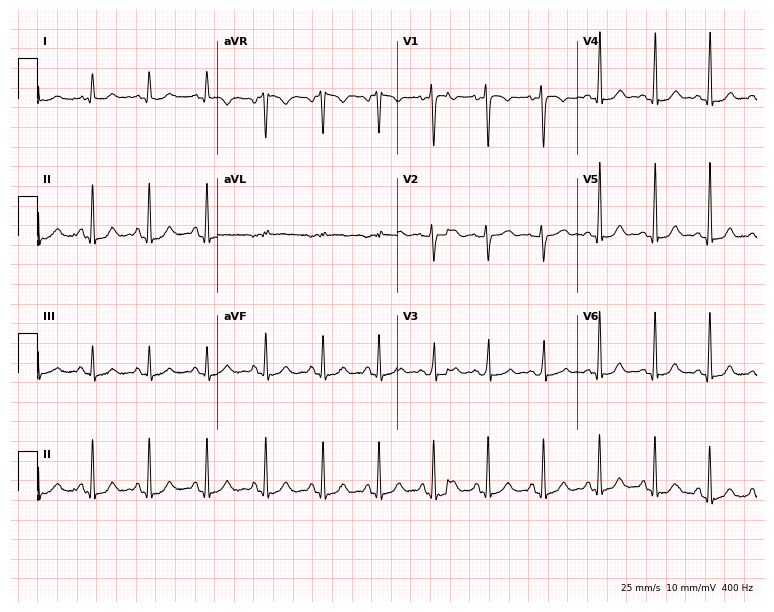
Resting 12-lead electrocardiogram (7.3-second recording at 400 Hz). Patient: a woman, 29 years old. The tracing shows sinus tachycardia (a sinus rate of 100 beats per minute or more).